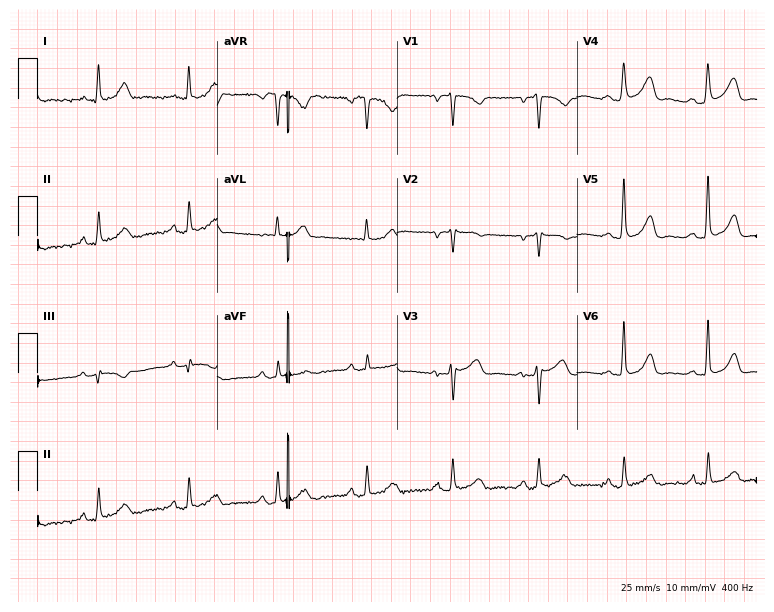
12-lead ECG from a female patient, 58 years old. No first-degree AV block, right bundle branch block (RBBB), left bundle branch block (LBBB), sinus bradycardia, atrial fibrillation (AF) or sinus tachycardia recorded for this tracing. Only these six findings were labelled.